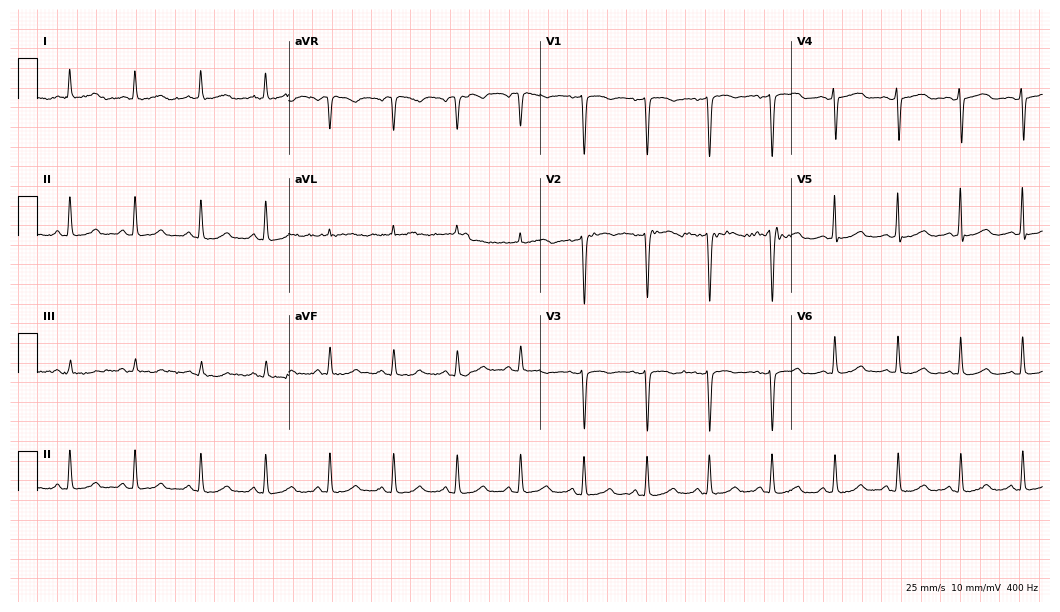
Resting 12-lead electrocardiogram. Patient: a female, 50 years old. Read as a normal ECG.